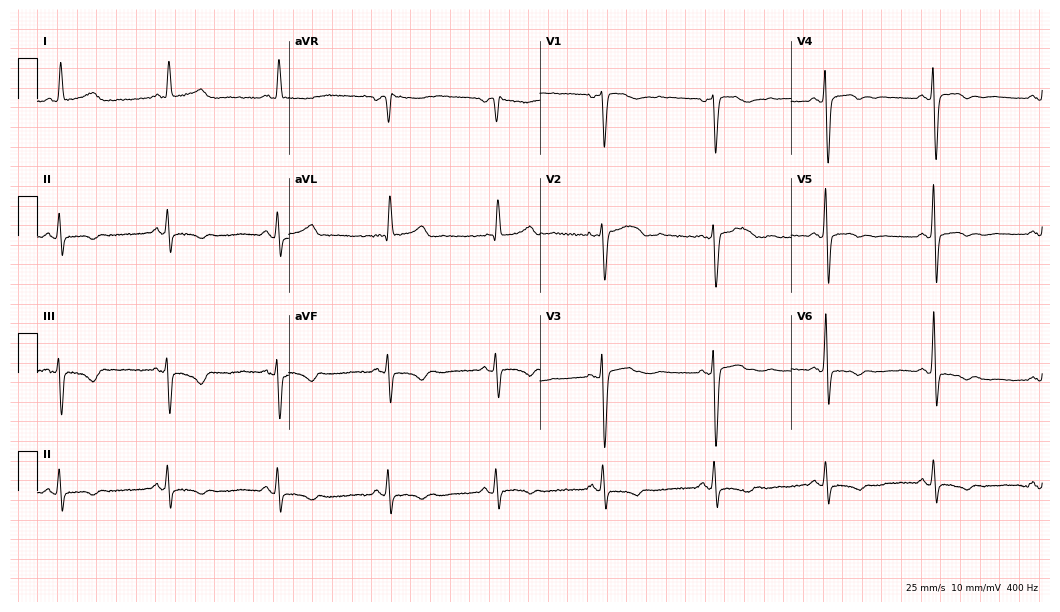
Standard 12-lead ECG recorded from a 70-year-old female. None of these six findings is recorded: first-degree AV block, right bundle branch block, left bundle branch block, sinus bradycardia, atrial fibrillation, sinus tachycardia.